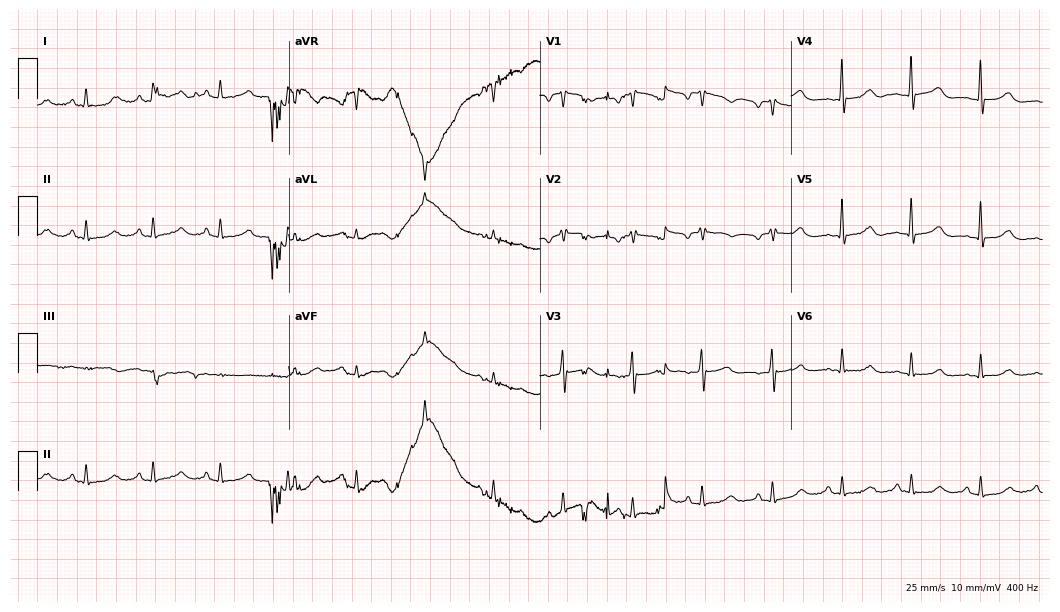
12-lead ECG from a 75-year-old female patient. Labelled as a normal ECG.